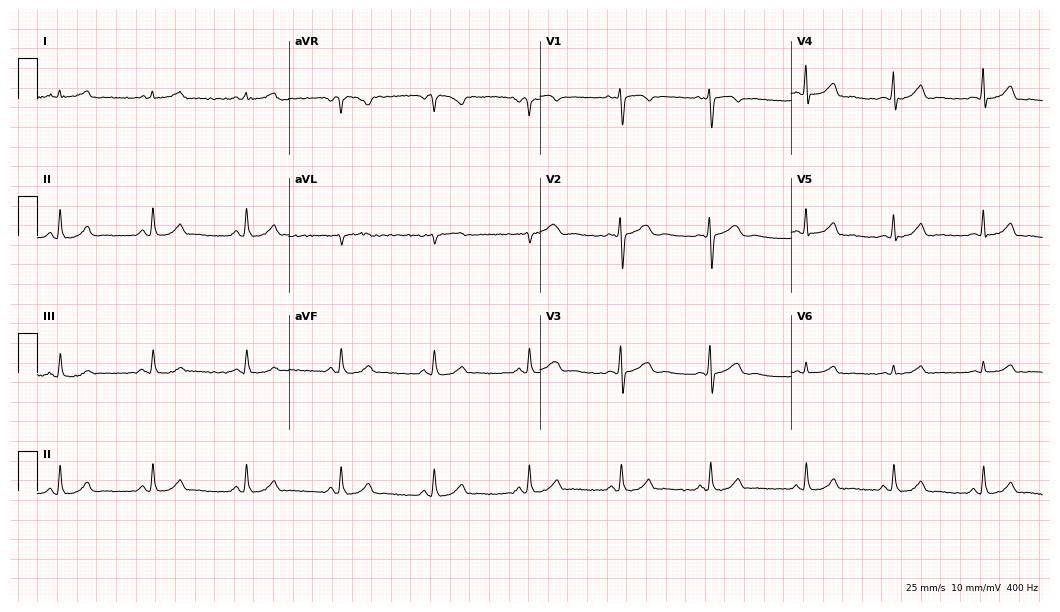
ECG (10.2-second recording at 400 Hz) — a 41-year-old woman. Screened for six findings — first-degree AV block, right bundle branch block, left bundle branch block, sinus bradycardia, atrial fibrillation, sinus tachycardia — none is recorded. Findings outside these six are not listed.